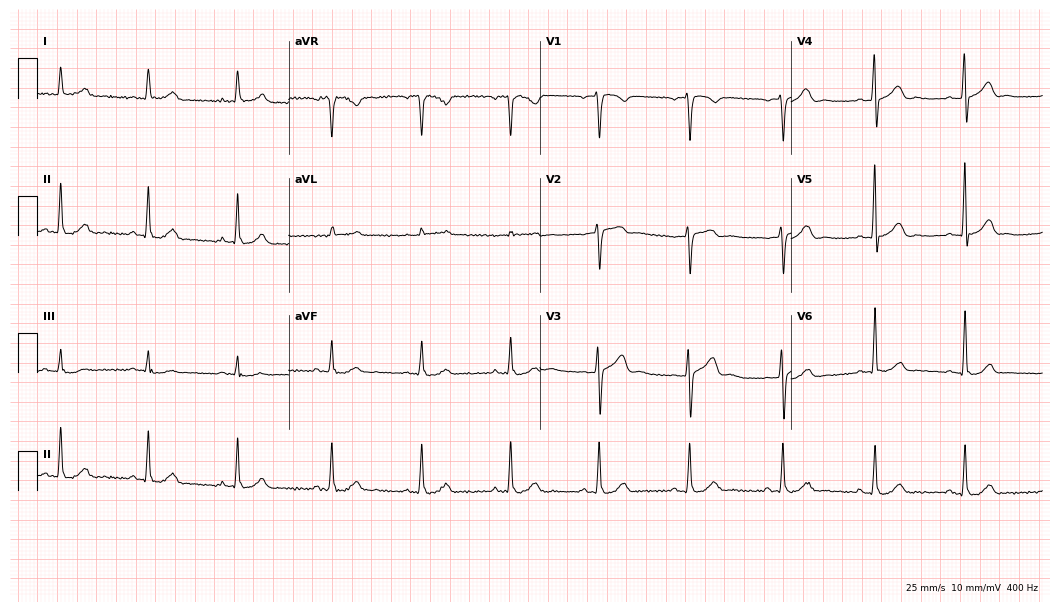
Standard 12-lead ECG recorded from a male patient, 66 years old. Read as a normal ECG.